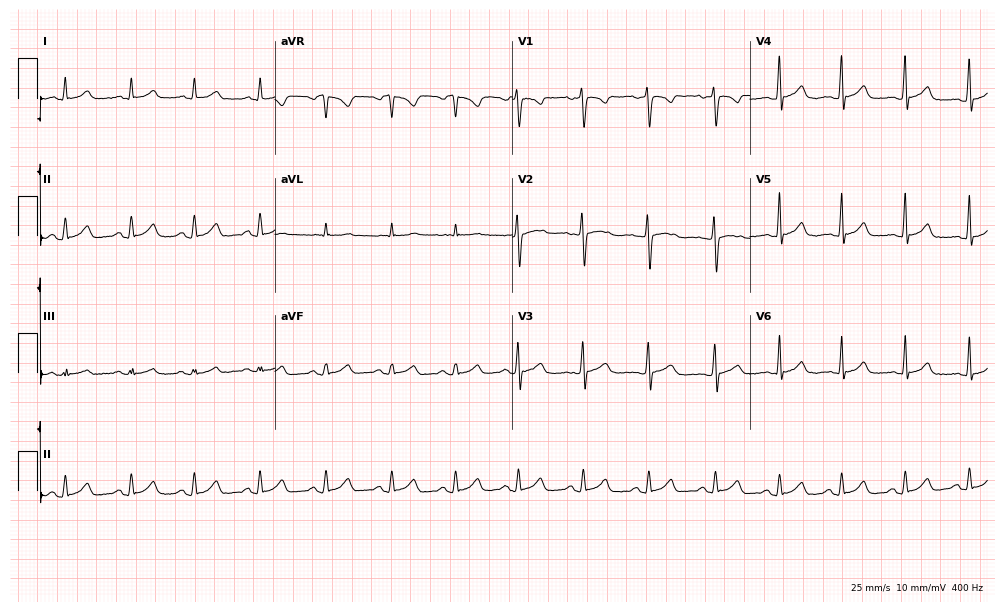
Resting 12-lead electrocardiogram. Patient: a 24-year-old female. Read as a normal ECG.